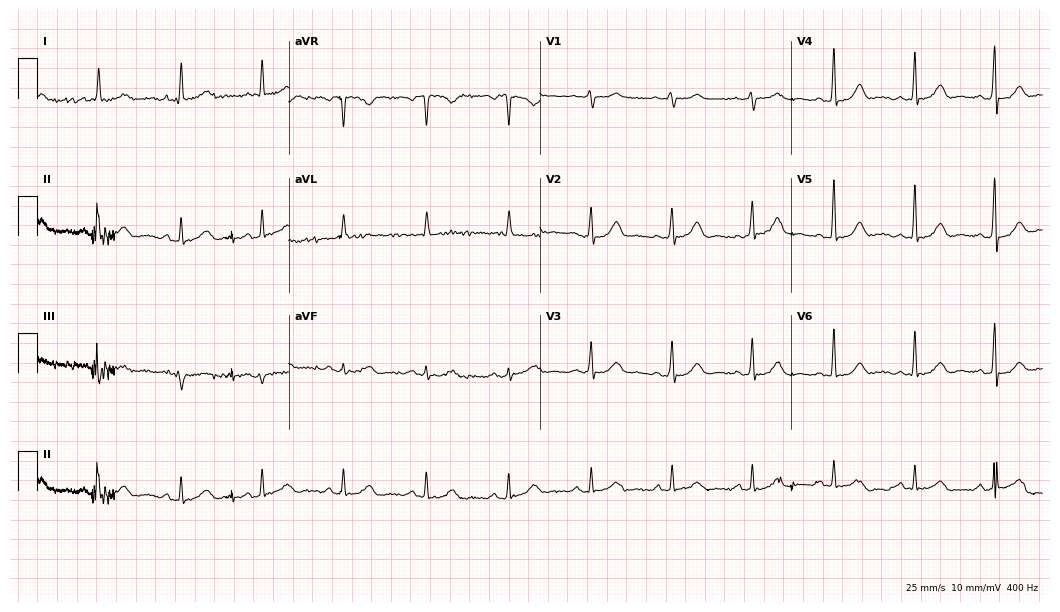
ECG — a 71-year-old female patient. Labelled as a normal ECG.